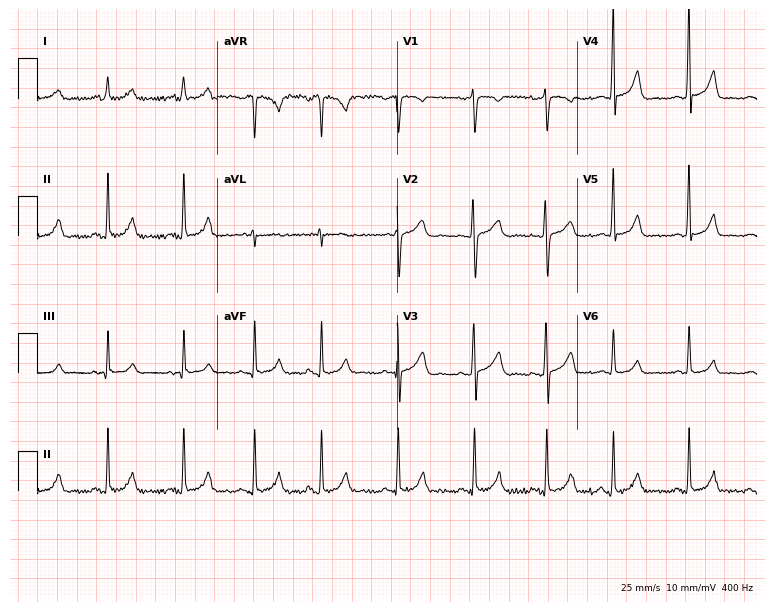
Standard 12-lead ECG recorded from a 26-year-old female patient. Read as a normal ECG.